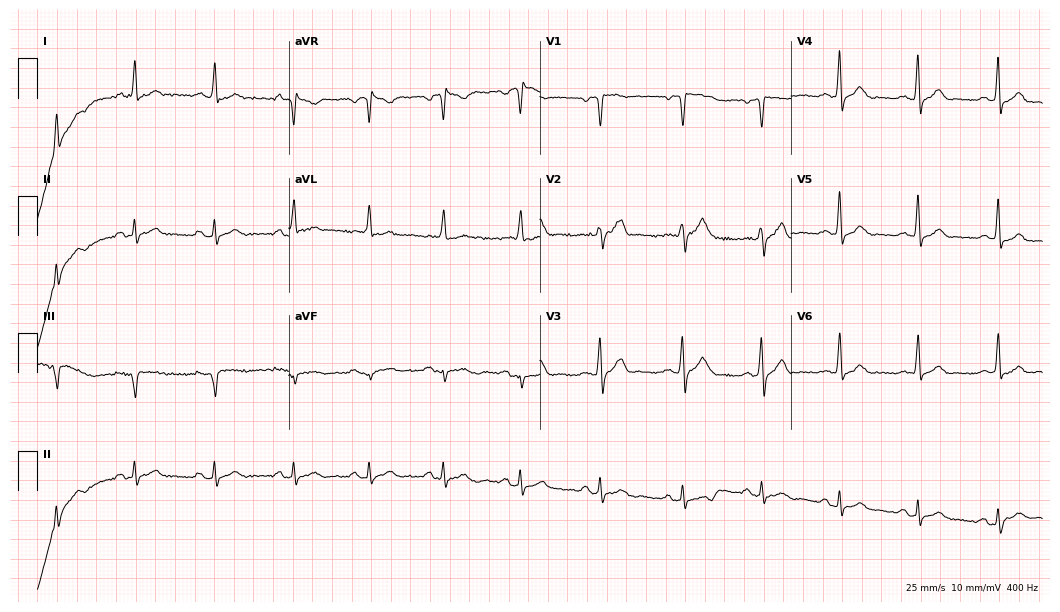
Electrocardiogram (10.2-second recording at 400 Hz), a male patient, 48 years old. Of the six screened findings (first-degree AV block, right bundle branch block (RBBB), left bundle branch block (LBBB), sinus bradycardia, atrial fibrillation (AF), sinus tachycardia), none is recorded. Only these six findings were labelled.